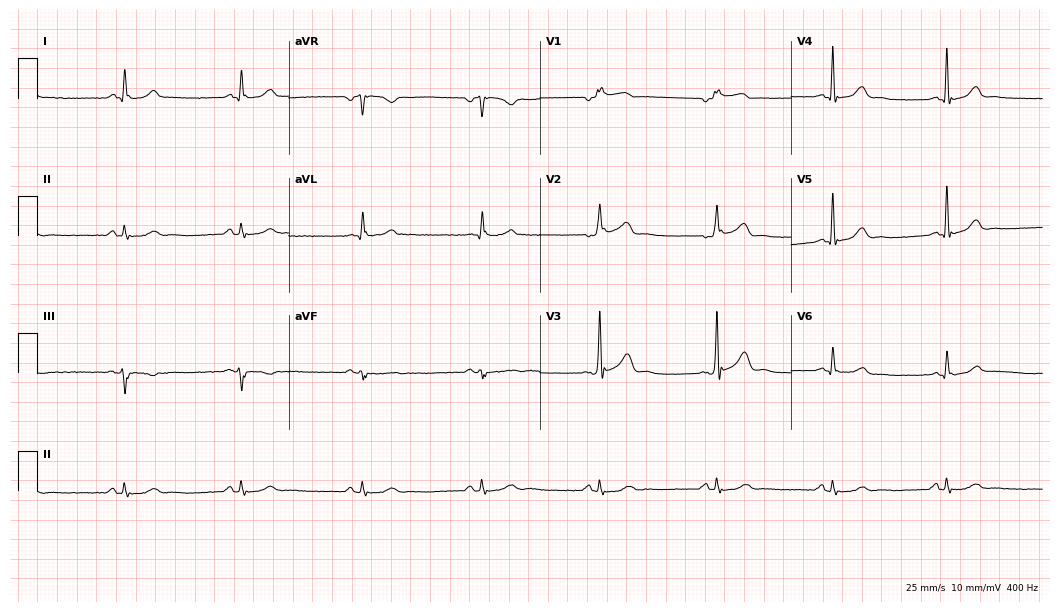
Standard 12-lead ECG recorded from a male, 58 years old. None of these six findings is recorded: first-degree AV block, right bundle branch block, left bundle branch block, sinus bradycardia, atrial fibrillation, sinus tachycardia. Other findings, if any, are not listed.